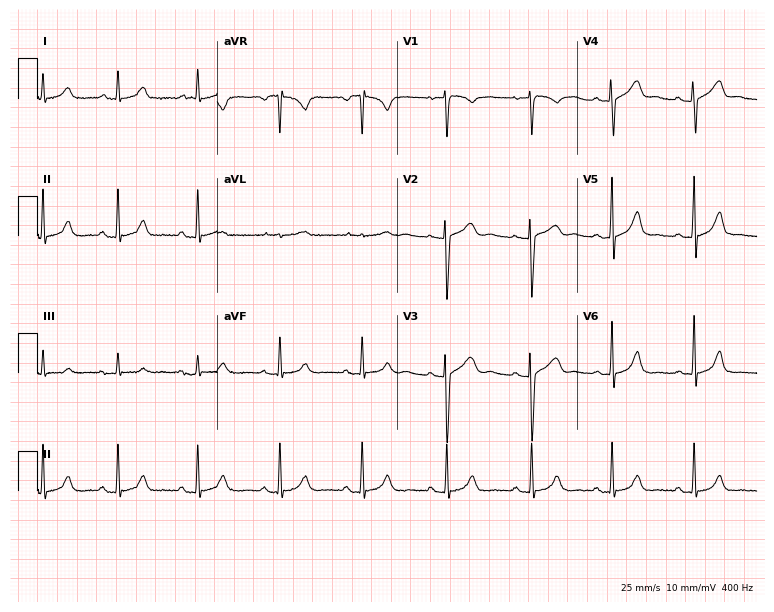
Resting 12-lead electrocardiogram. Patient: a female, 41 years old. Read as a normal ECG.